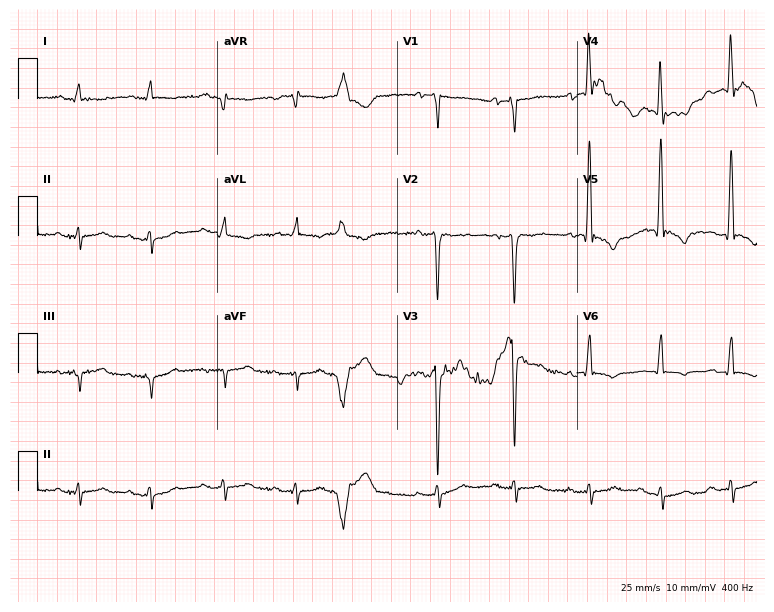
Resting 12-lead electrocardiogram. Patient: a man, 82 years old. None of these six findings is recorded: first-degree AV block, right bundle branch block, left bundle branch block, sinus bradycardia, atrial fibrillation, sinus tachycardia.